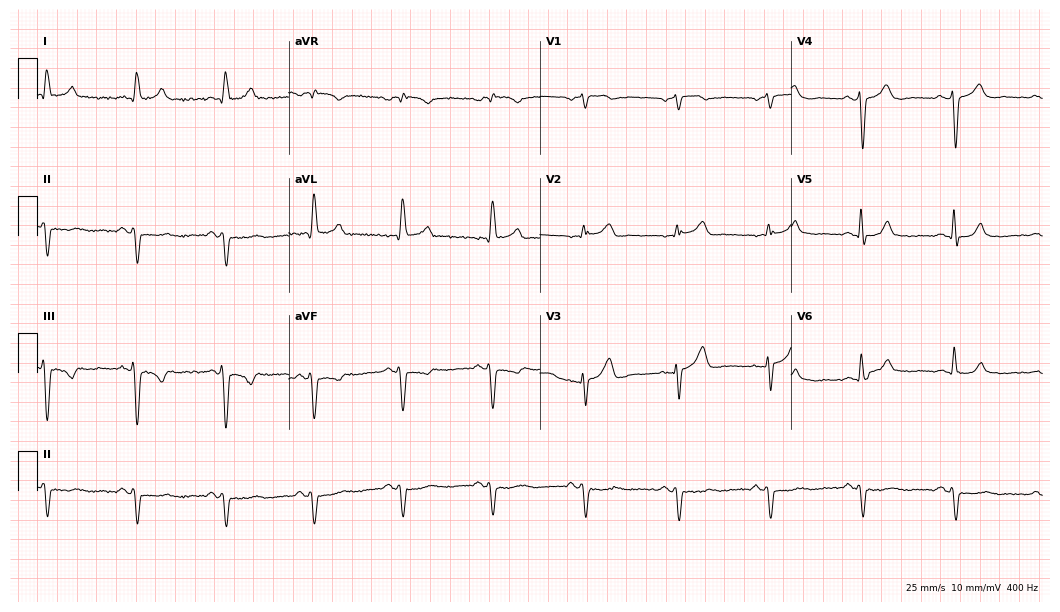
ECG (10.2-second recording at 400 Hz) — a 72-year-old man. Screened for six findings — first-degree AV block, right bundle branch block (RBBB), left bundle branch block (LBBB), sinus bradycardia, atrial fibrillation (AF), sinus tachycardia — none is recorded. Only these six findings were labelled.